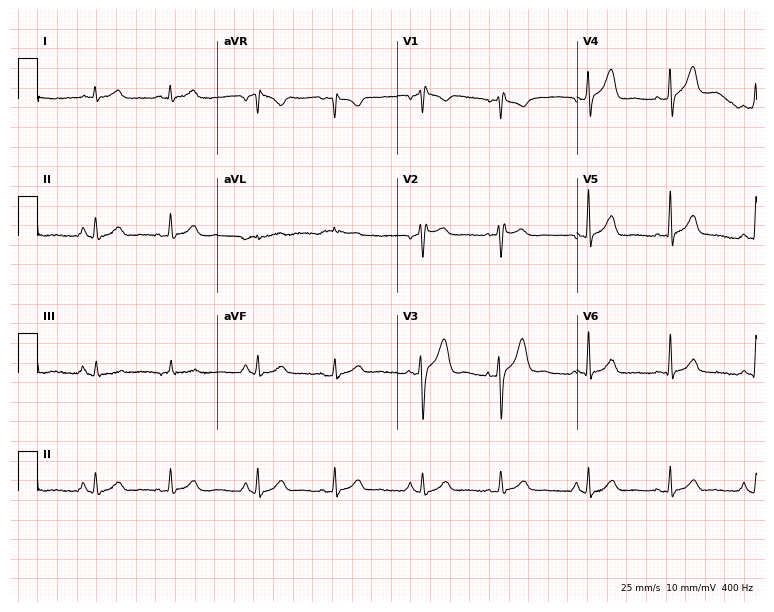
Standard 12-lead ECG recorded from a male, 69 years old (7.3-second recording at 400 Hz). None of these six findings is recorded: first-degree AV block, right bundle branch block (RBBB), left bundle branch block (LBBB), sinus bradycardia, atrial fibrillation (AF), sinus tachycardia.